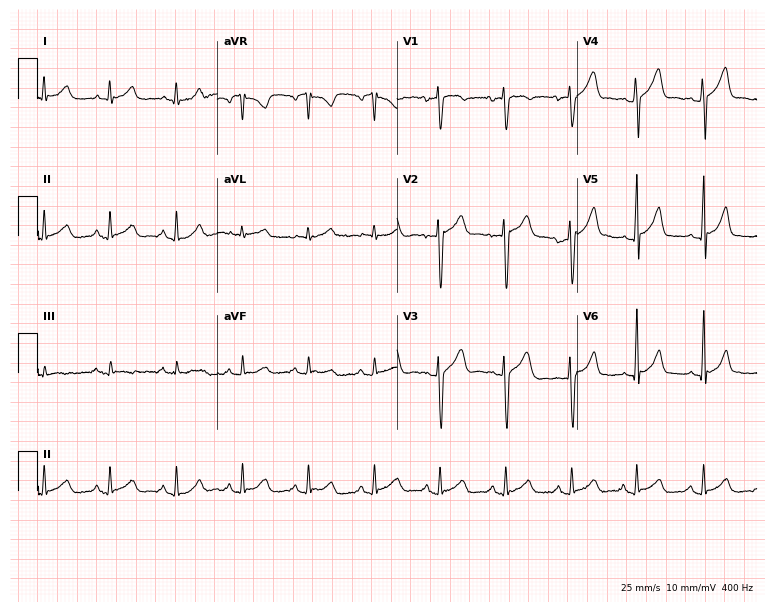
ECG (7.3-second recording at 400 Hz) — a male, 31 years old. Labelled as a normal ECG.